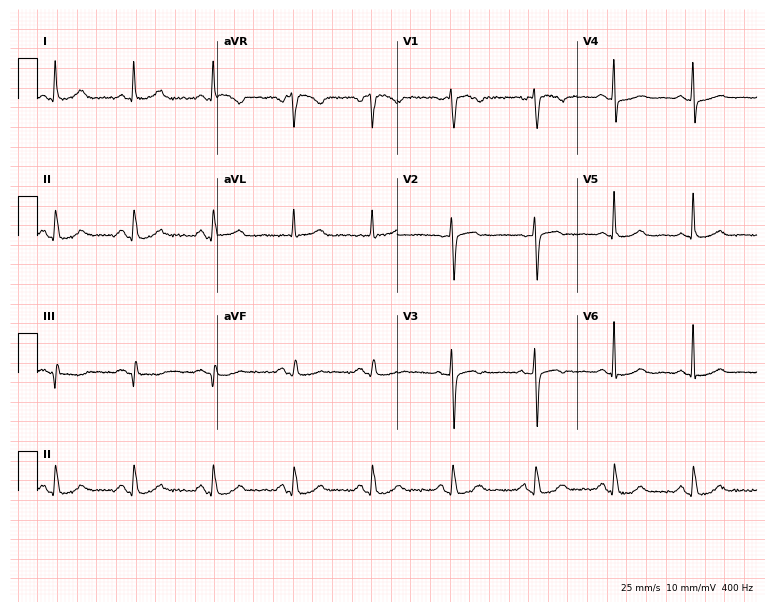
12-lead ECG from a female, 58 years old. Labelled as a normal ECG.